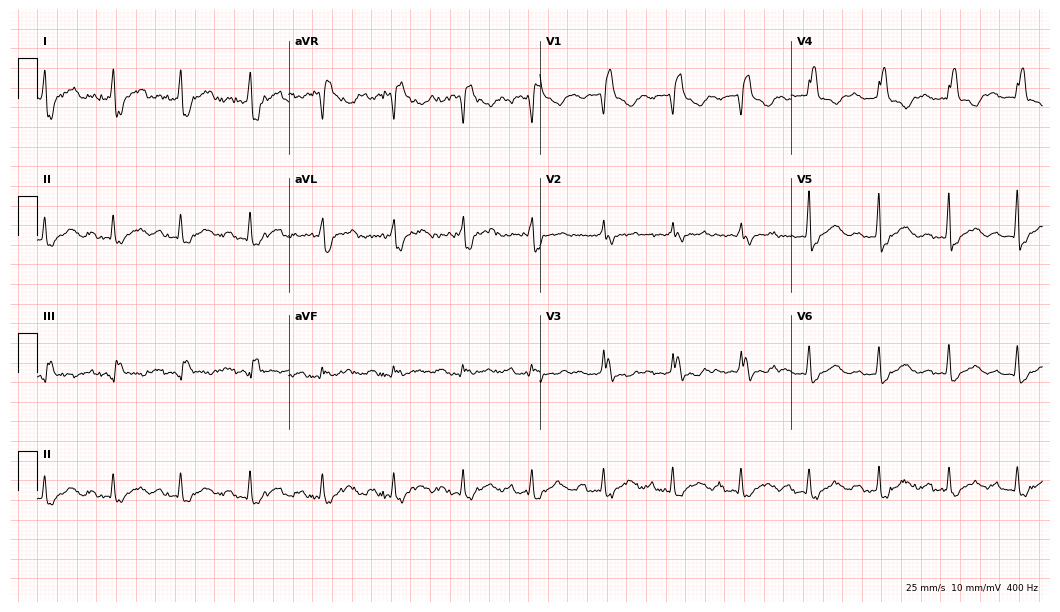
Standard 12-lead ECG recorded from a female patient, 66 years old. The tracing shows first-degree AV block, right bundle branch block (RBBB).